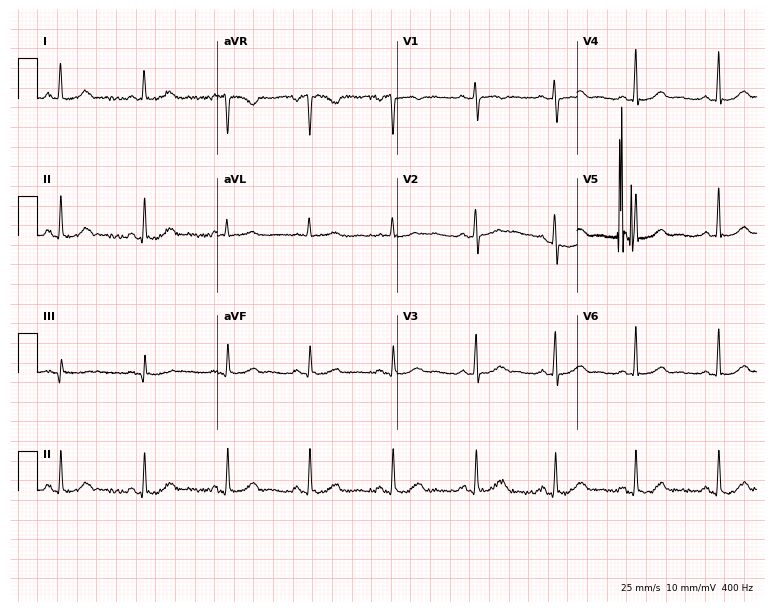
12-lead ECG from a 54-year-old female patient (7.3-second recording at 400 Hz). Recorded interpretation: within normal limits.